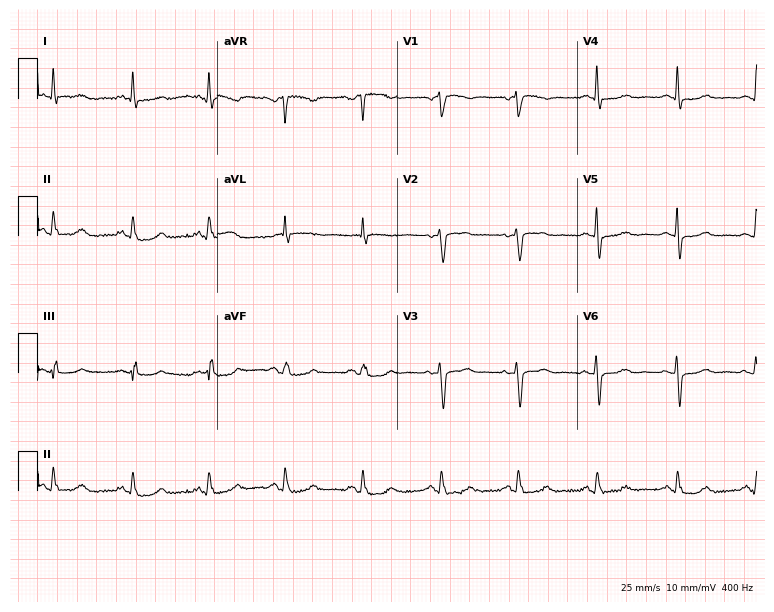
Electrocardiogram, a woman, 60 years old. Overall reading on record: normal ECG.